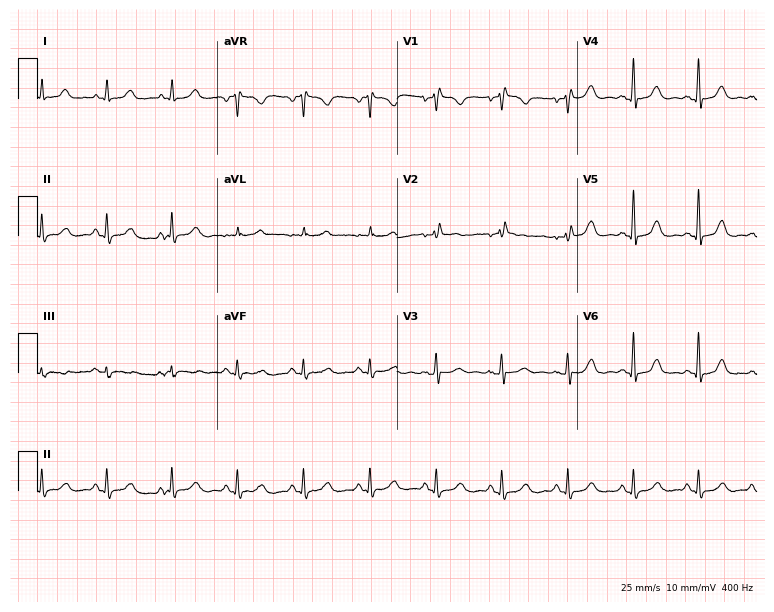
12-lead ECG (7.3-second recording at 400 Hz) from a woman, 52 years old. Screened for six findings — first-degree AV block, right bundle branch block (RBBB), left bundle branch block (LBBB), sinus bradycardia, atrial fibrillation (AF), sinus tachycardia — none is recorded. Only these six findings were labelled.